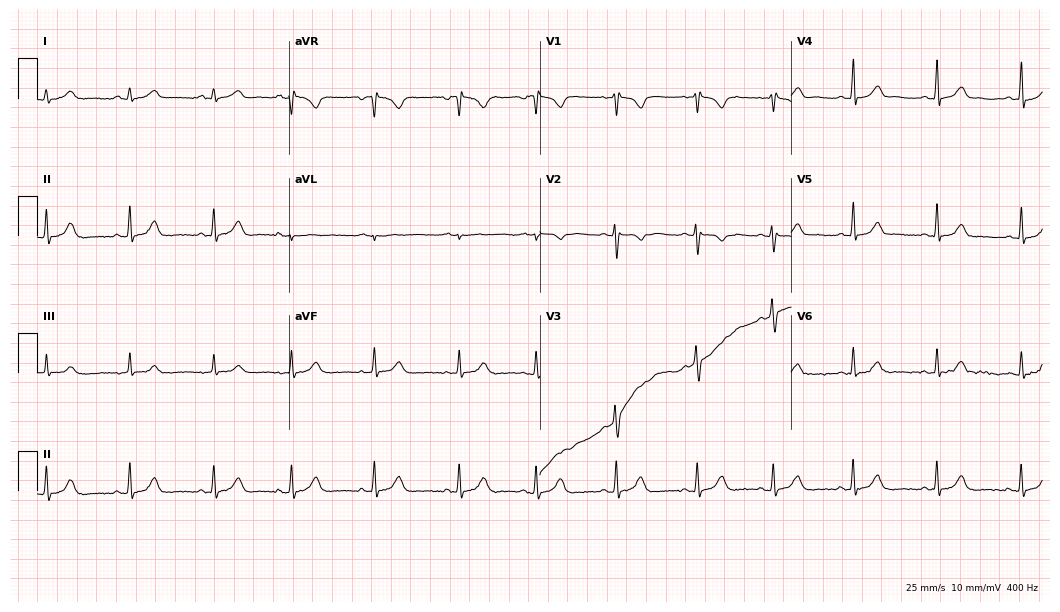
Resting 12-lead electrocardiogram. Patient: a woman, 21 years old. None of these six findings is recorded: first-degree AV block, right bundle branch block, left bundle branch block, sinus bradycardia, atrial fibrillation, sinus tachycardia. Findings outside these six are not listed.